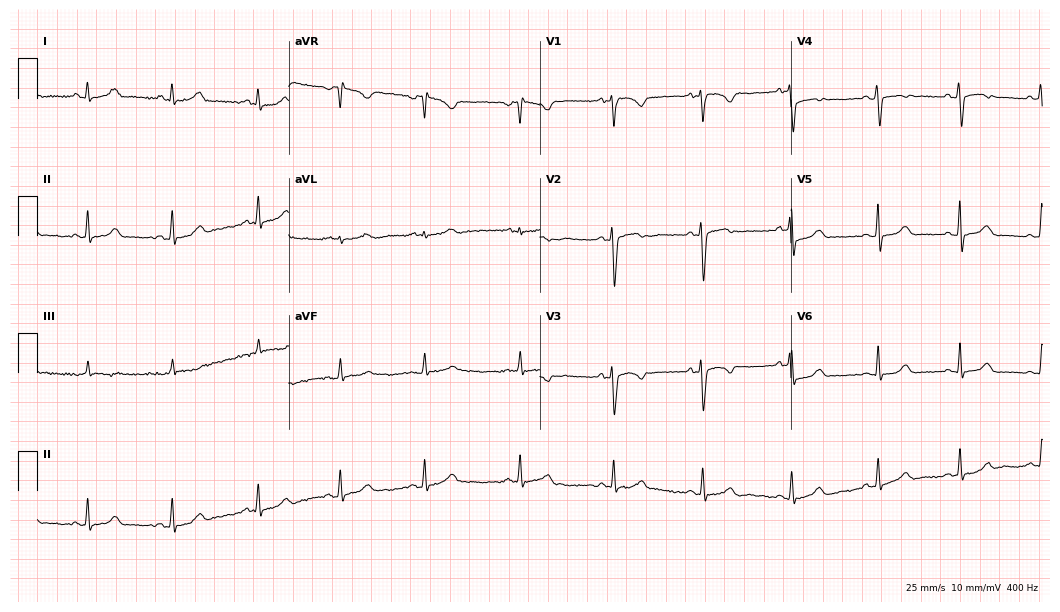
12-lead ECG from a 25-year-old woman. Labelled as a normal ECG.